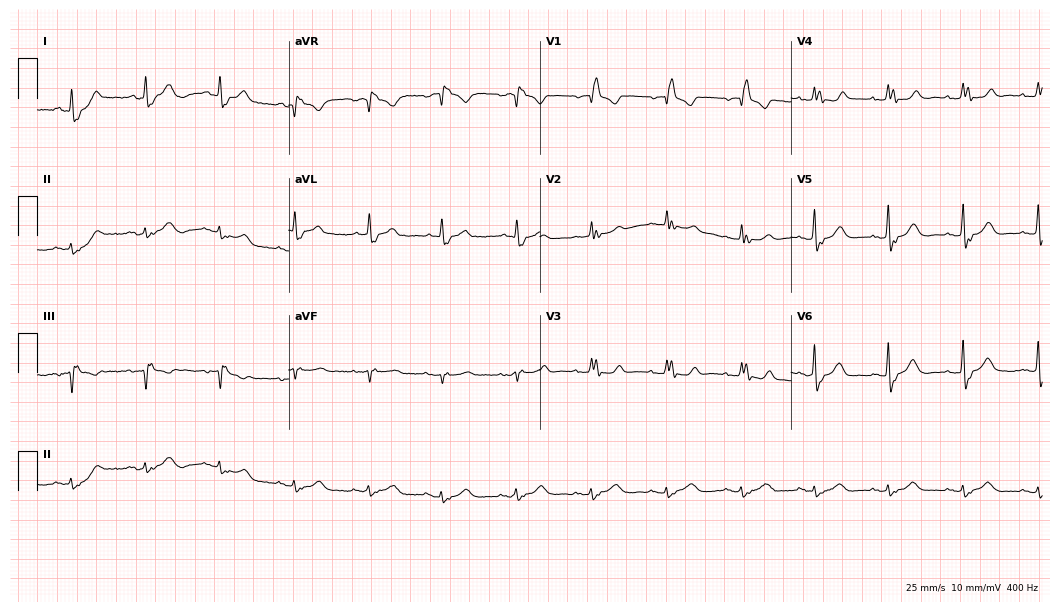
ECG — an 81-year-old female. Findings include right bundle branch block.